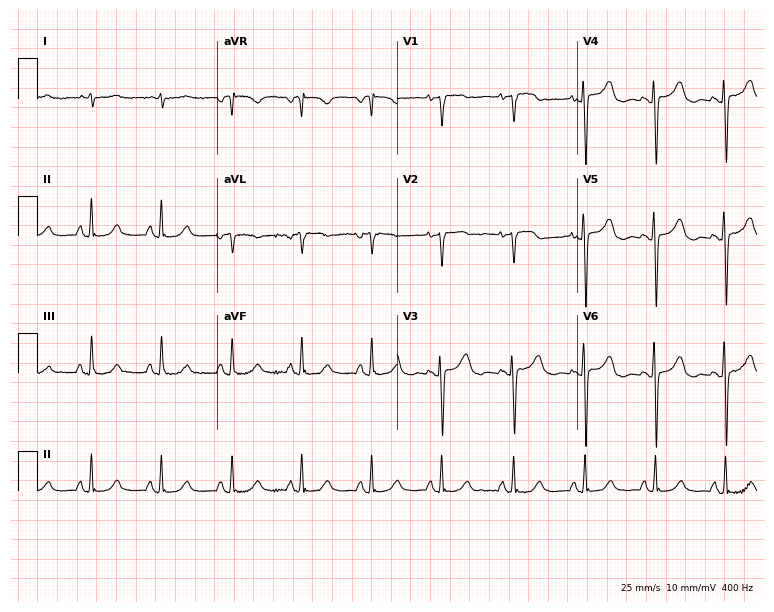
12-lead ECG from a 64-year-old woman. No first-degree AV block, right bundle branch block, left bundle branch block, sinus bradycardia, atrial fibrillation or sinus tachycardia recorded for this tracing. Findings outside these six are not listed.